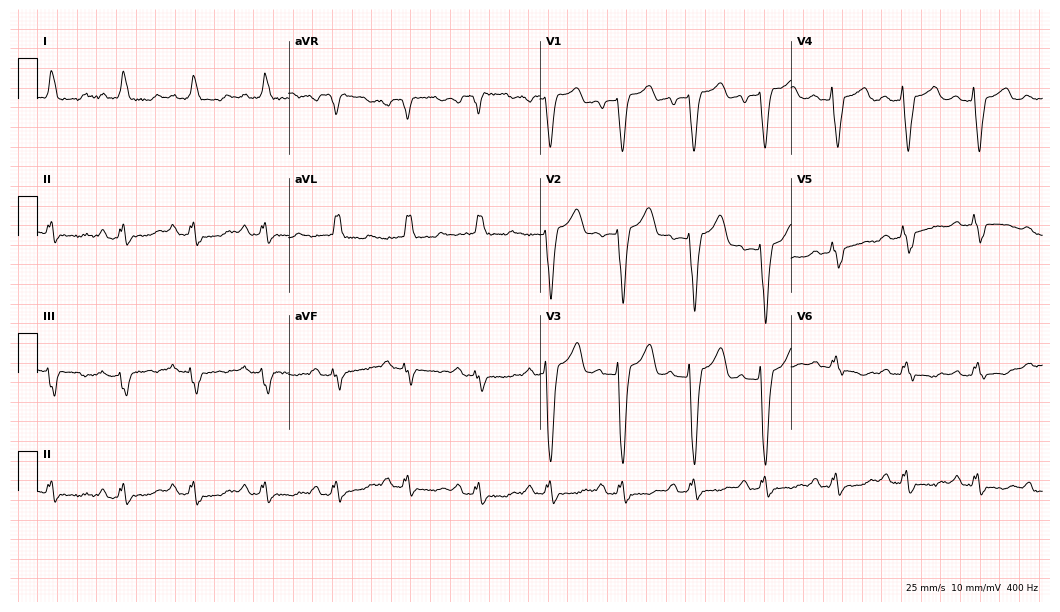
ECG (10.2-second recording at 400 Hz) — a female, 64 years old. Findings include left bundle branch block (LBBB).